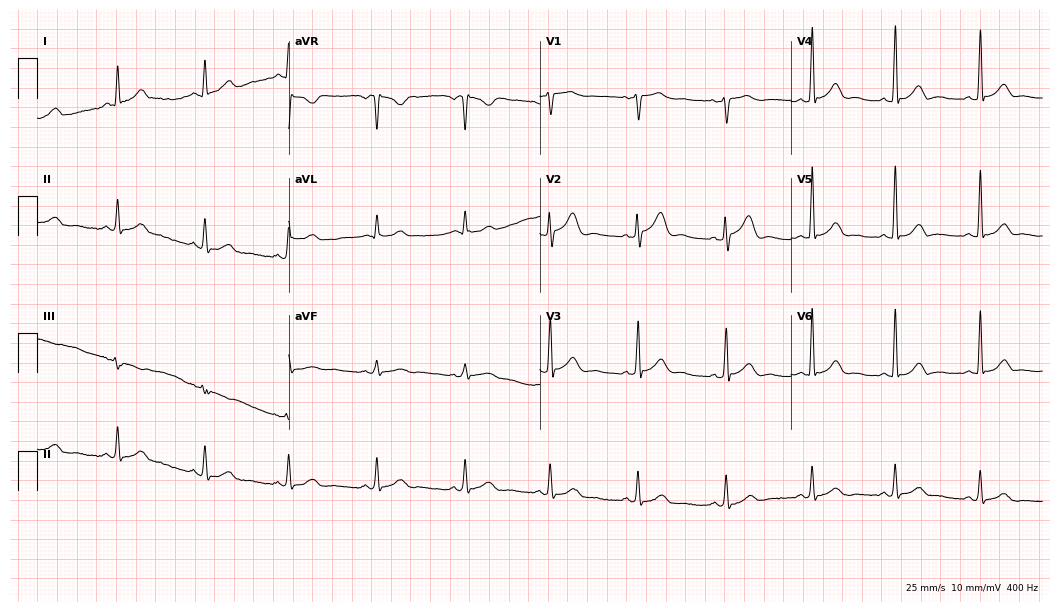
12-lead ECG from a 55-year-old female patient. Labelled as a normal ECG.